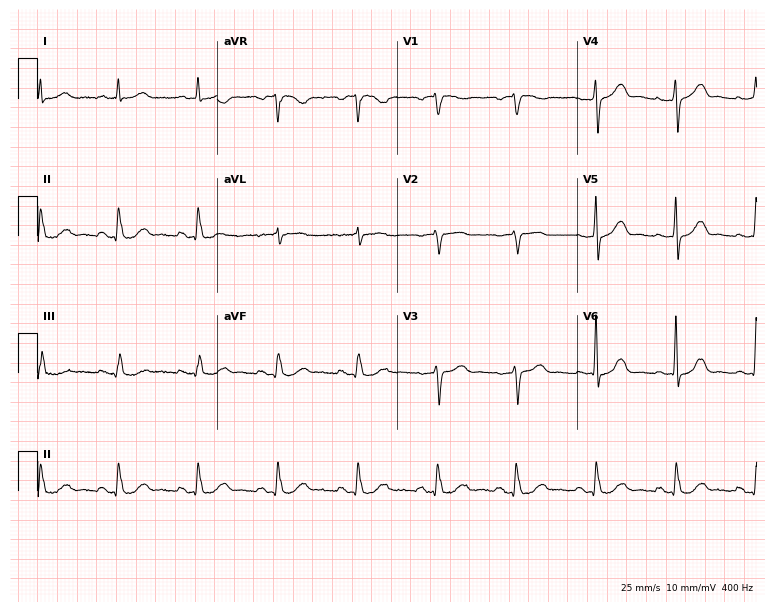
Standard 12-lead ECG recorded from a male patient, 74 years old (7.3-second recording at 400 Hz). None of these six findings is recorded: first-degree AV block, right bundle branch block, left bundle branch block, sinus bradycardia, atrial fibrillation, sinus tachycardia.